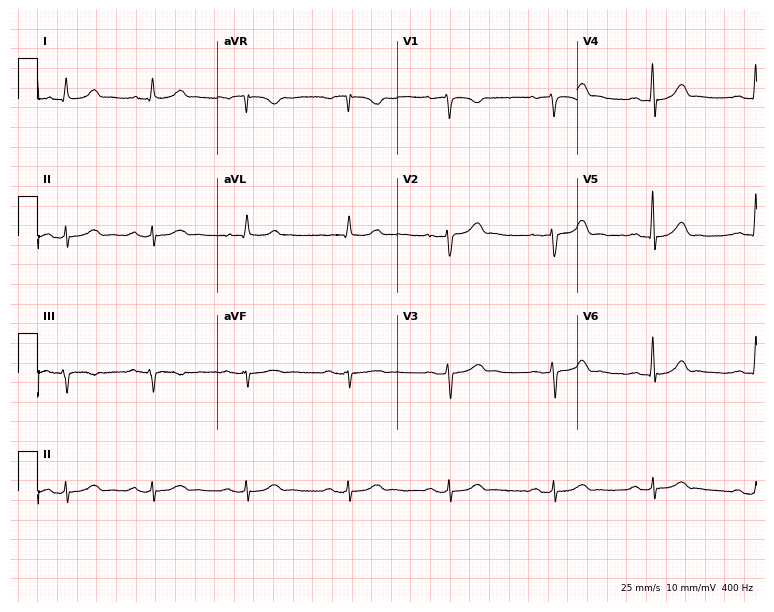
ECG (7.3-second recording at 400 Hz) — a 40-year-old female. Labelled as a normal ECG.